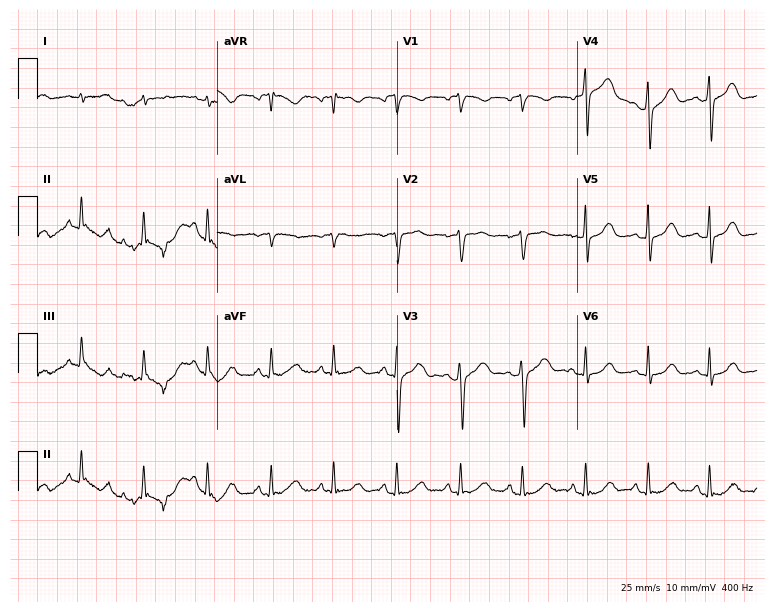
Resting 12-lead electrocardiogram (7.3-second recording at 400 Hz). Patient: a female, 52 years old. Read as a normal ECG.